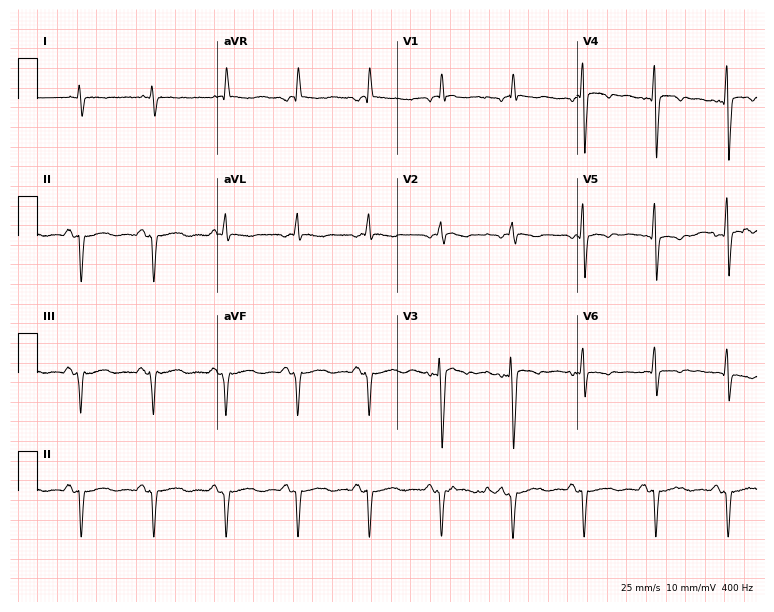
12-lead ECG from a 77-year-old male. No first-degree AV block, right bundle branch block (RBBB), left bundle branch block (LBBB), sinus bradycardia, atrial fibrillation (AF) or sinus tachycardia recorded for this tracing. Only these six findings were labelled.